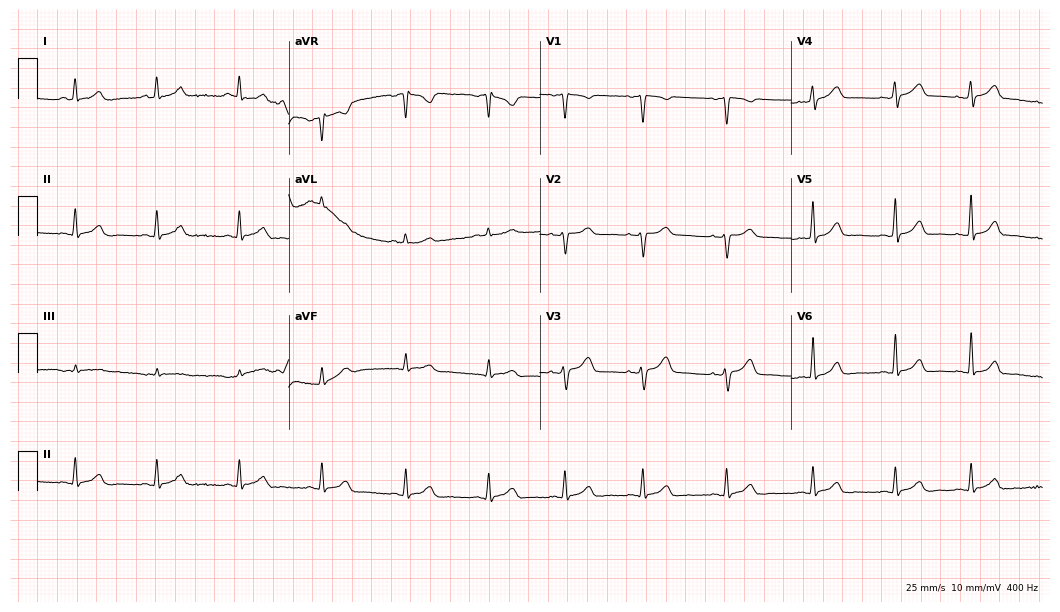
Resting 12-lead electrocardiogram. Patient: a female, 38 years old. Read as a normal ECG.